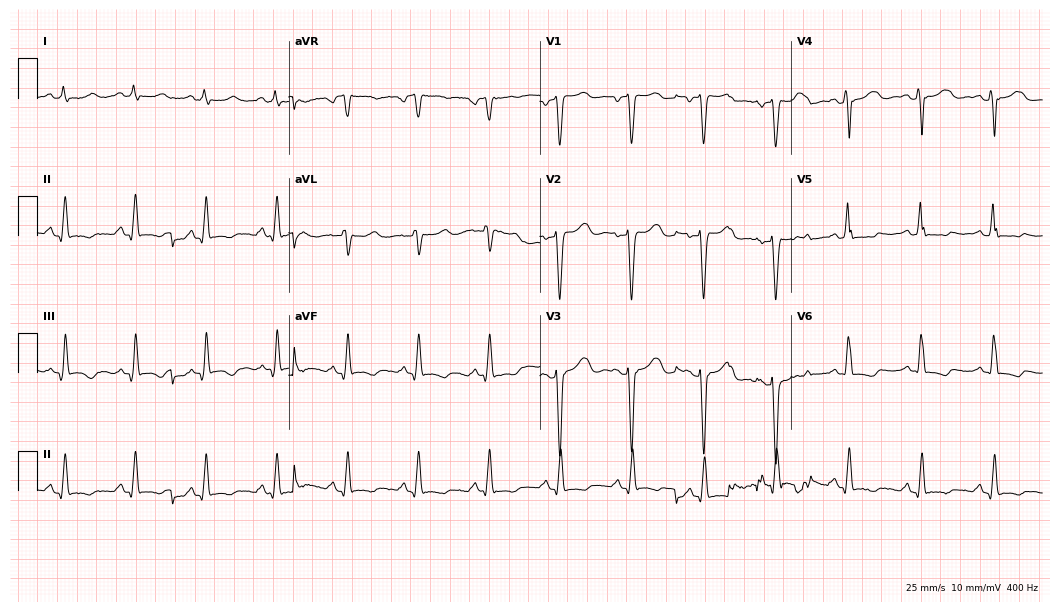
Resting 12-lead electrocardiogram. Patient: a 57-year-old female. None of these six findings is recorded: first-degree AV block, right bundle branch block (RBBB), left bundle branch block (LBBB), sinus bradycardia, atrial fibrillation (AF), sinus tachycardia.